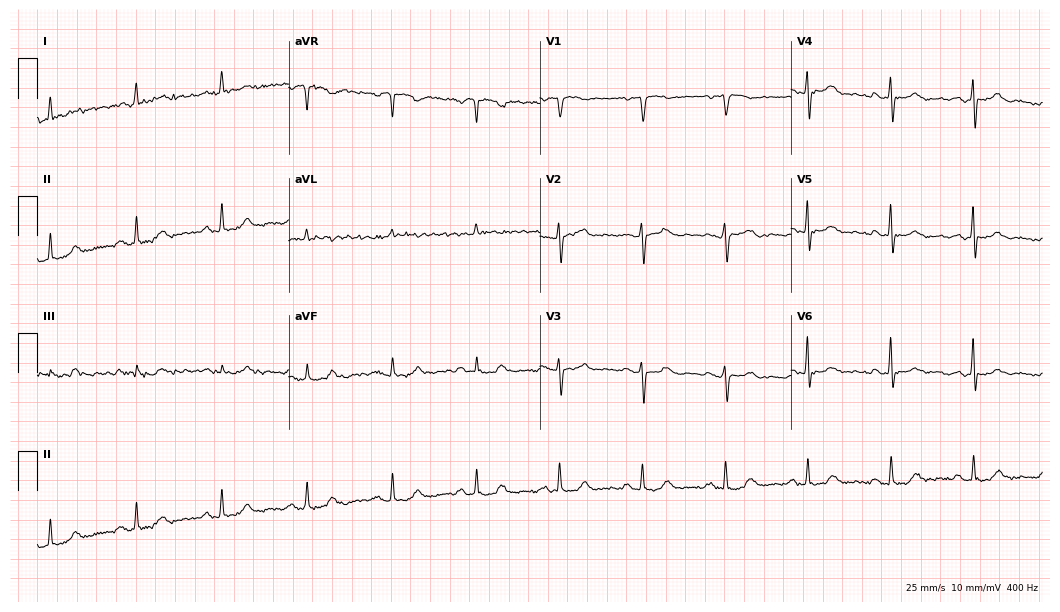
Electrocardiogram, a 71-year-old female patient. Of the six screened findings (first-degree AV block, right bundle branch block, left bundle branch block, sinus bradycardia, atrial fibrillation, sinus tachycardia), none is recorded. Only these six findings were labelled.